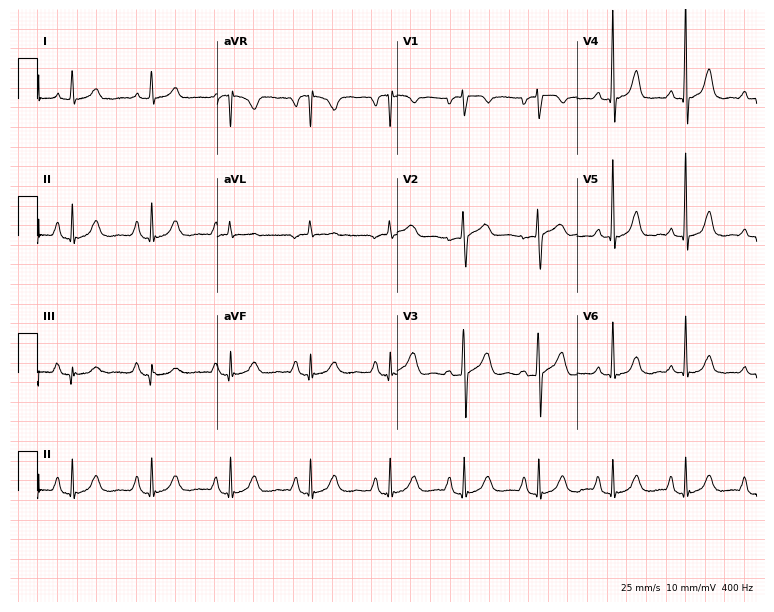
Electrocardiogram (7.3-second recording at 400 Hz), a woman, 59 years old. Of the six screened findings (first-degree AV block, right bundle branch block, left bundle branch block, sinus bradycardia, atrial fibrillation, sinus tachycardia), none is recorded.